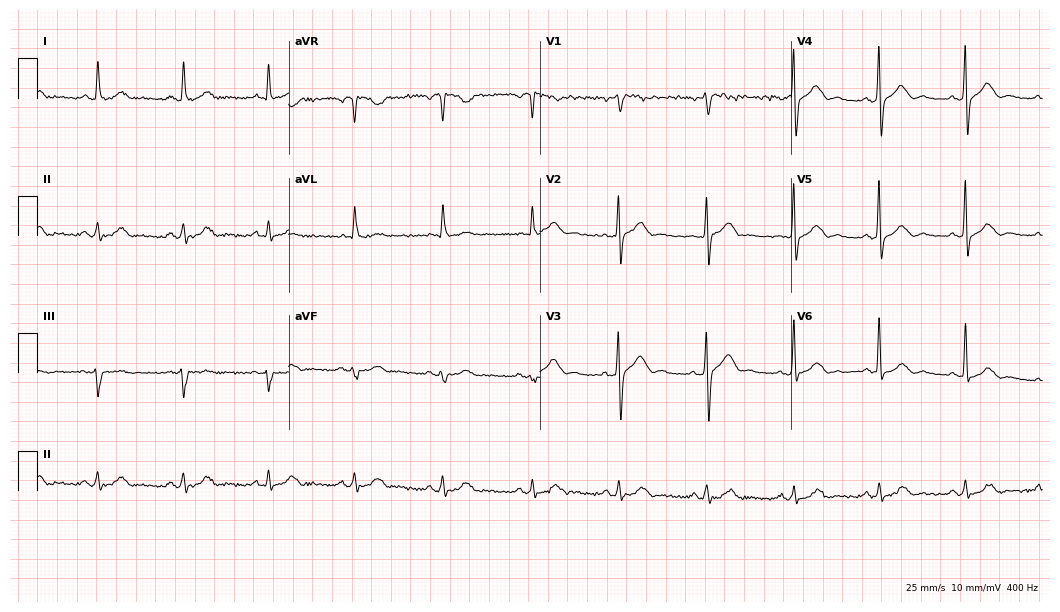
Resting 12-lead electrocardiogram (10.2-second recording at 400 Hz). Patient: a 75-year-old female. Read as a normal ECG.